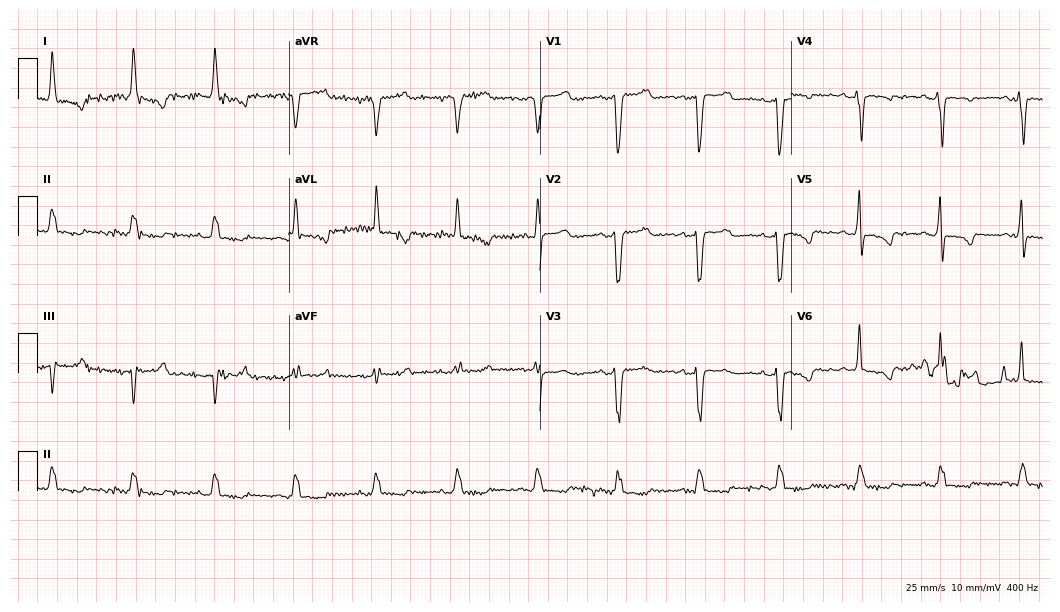
12-lead ECG (10.2-second recording at 400 Hz) from a 49-year-old female. Screened for six findings — first-degree AV block, right bundle branch block, left bundle branch block, sinus bradycardia, atrial fibrillation, sinus tachycardia — none is recorded. Only these six findings were labelled.